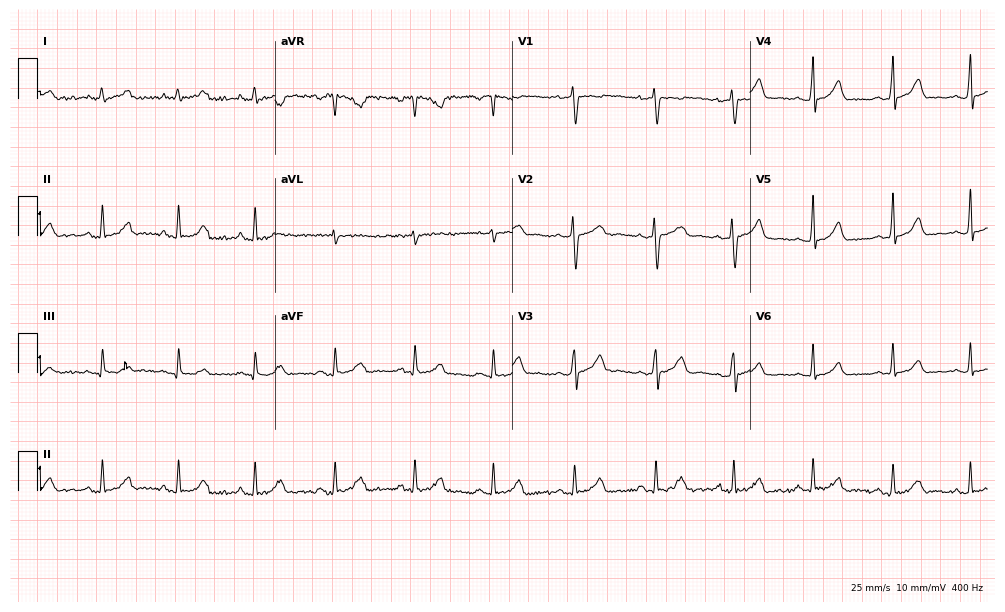
Standard 12-lead ECG recorded from a 34-year-old female (9.7-second recording at 400 Hz). Read as a normal ECG.